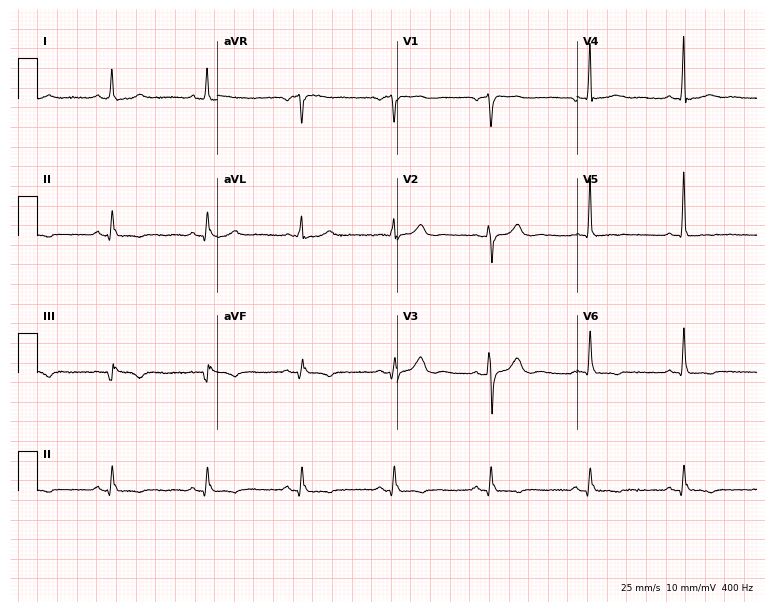
ECG — a male patient, 77 years old. Screened for six findings — first-degree AV block, right bundle branch block, left bundle branch block, sinus bradycardia, atrial fibrillation, sinus tachycardia — none is recorded. Other findings, if any, are not listed.